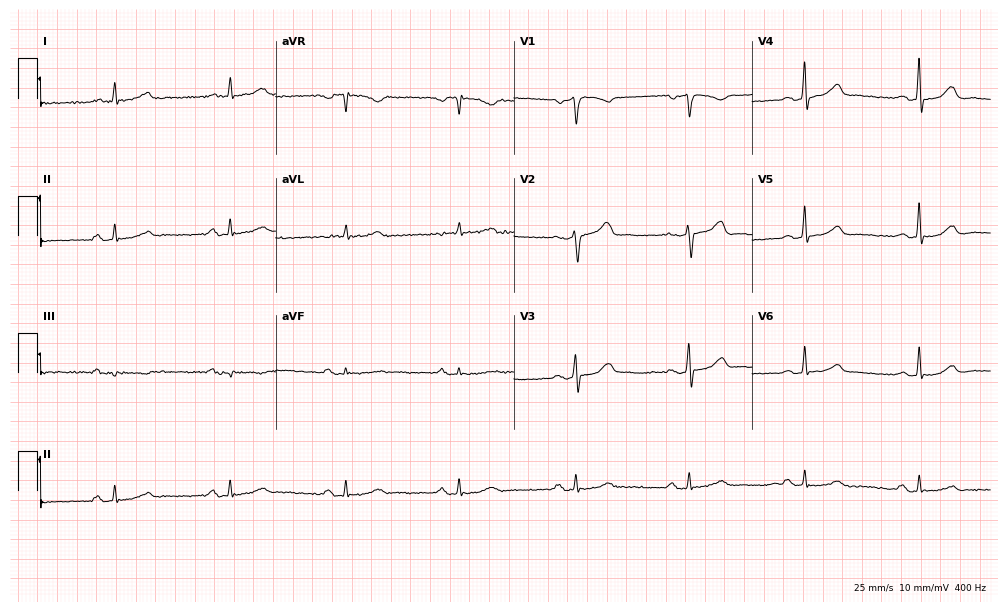
Electrocardiogram, a 51-year-old woman. Overall reading on record: normal ECG.